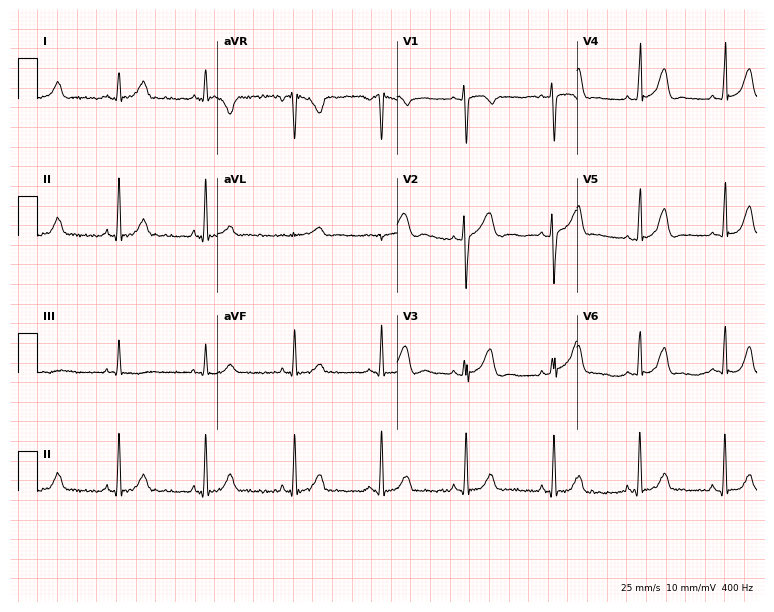
12-lead ECG from a female, 31 years old (7.3-second recording at 400 Hz). No first-degree AV block, right bundle branch block, left bundle branch block, sinus bradycardia, atrial fibrillation or sinus tachycardia recorded for this tracing. Findings outside these six are not listed.